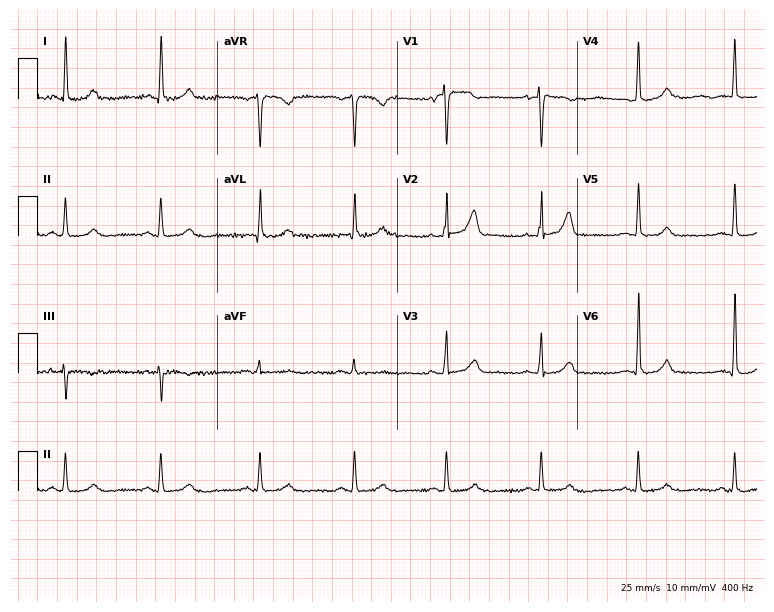
ECG — a woman, 74 years old. Screened for six findings — first-degree AV block, right bundle branch block, left bundle branch block, sinus bradycardia, atrial fibrillation, sinus tachycardia — none is recorded. Only these six findings were labelled.